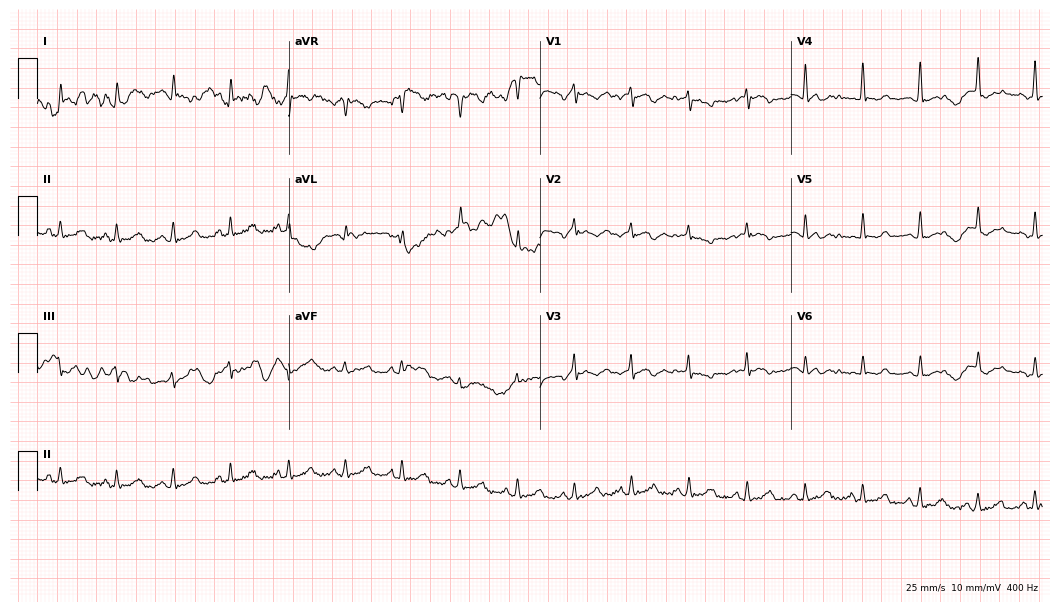
Resting 12-lead electrocardiogram. Patient: a 58-year-old woman. None of these six findings is recorded: first-degree AV block, right bundle branch block, left bundle branch block, sinus bradycardia, atrial fibrillation, sinus tachycardia. Findings outside these six are not listed.